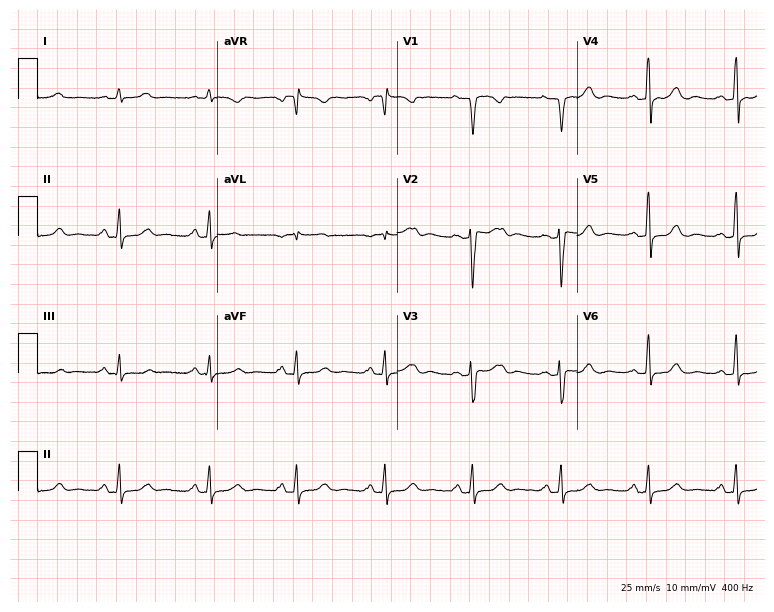
ECG — a 37-year-old woman. Screened for six findings — first-degree AV block, right bundle branch block (RBBB), left bundle branch block (LBBB), sinus bradycardia, atrial fibrillation (AF), sinus tachycardia — none is recorded. Only these six findings were labelled.